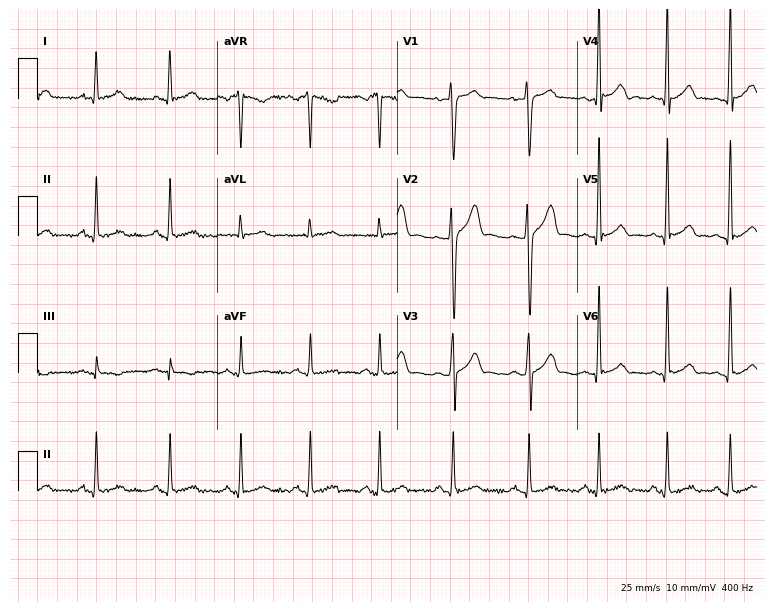
ECG — a 38-year-old male patient. Labelled as a normal ECG.